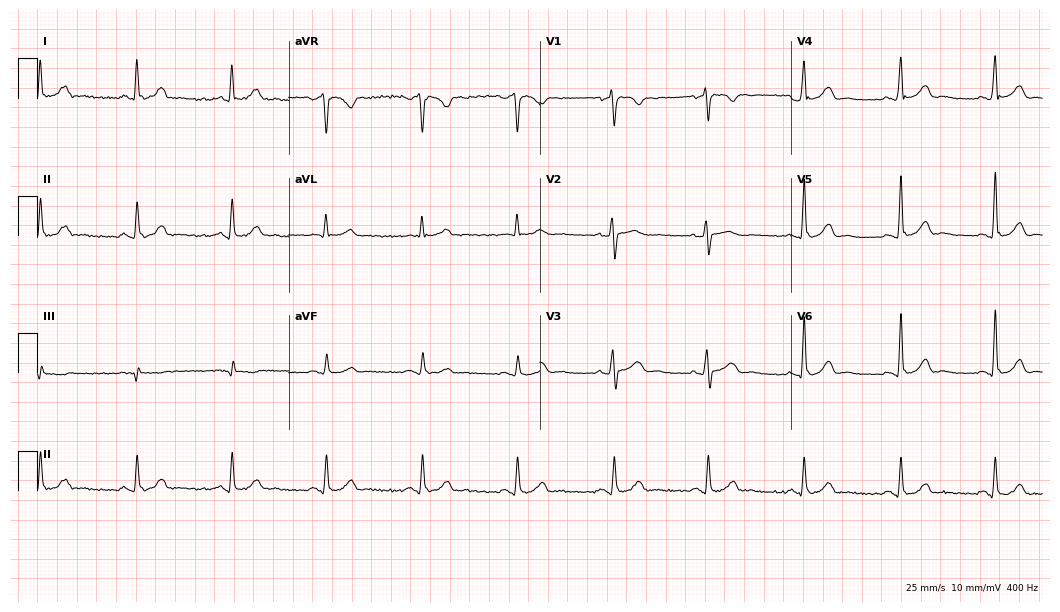
12-lead ECG (10.2-second recording at 400 Hz) from a 55-year-old male patient. Screened for six findings — first-degree AV block, right bundle branch block, left bundle branch block, sinus bradycardia, atrial fibrillation, sinus tachycardia — none is recorded.